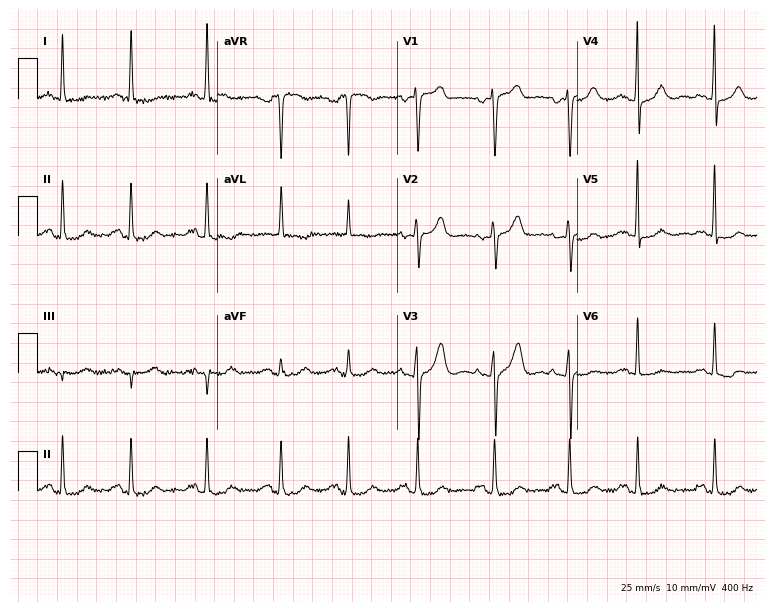
Resting 12-lead electrocardiogram. Patient: a female, 67 years old. None of these six findings is recorded: first-degree AV block, right bundle branch block, left bundle branch block, sinus bradycardia, atrial fibrillation, sinus tachycardia.